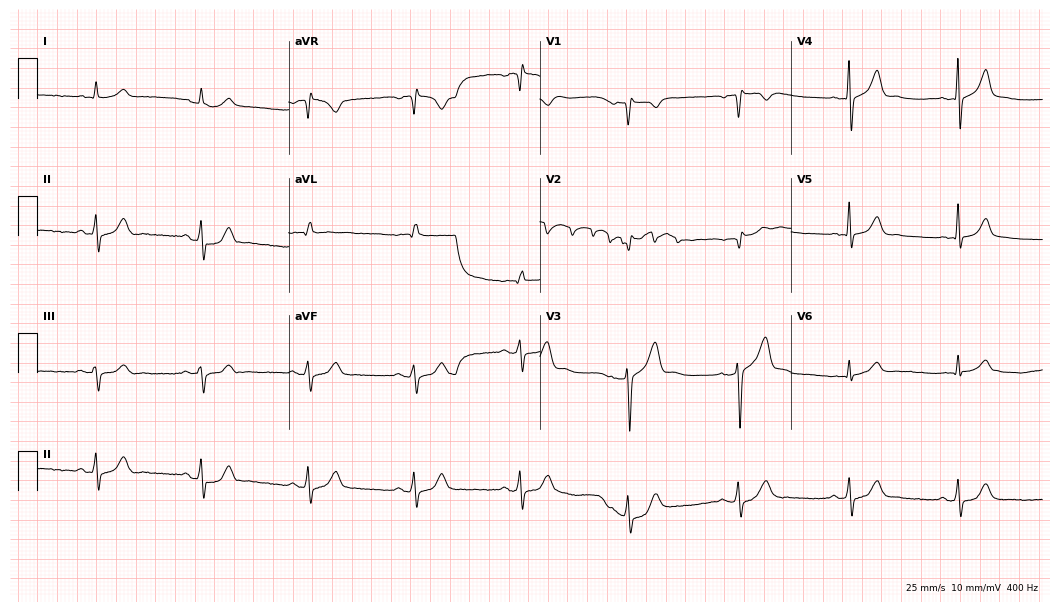
Resting 12-lead electrocardiogram (10.2-second recording at 400 Hz). Patient: a male, 62 years old. None of these six findings is recorded: first-degree AV block, right bundle branch block (RBBB), left bundle branch block (LBBB), sinus bradycardia, atrial fibrillation (AF), sinus tachycardia. Findings outside these six are not listed.